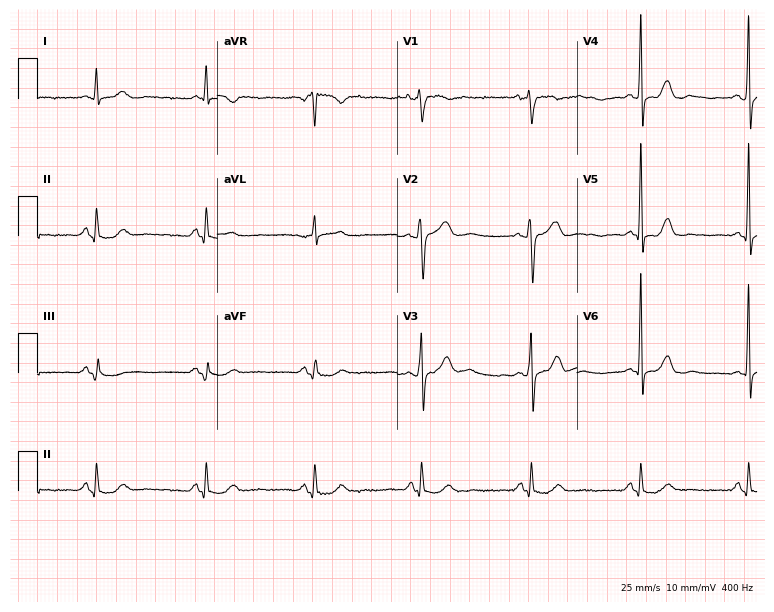
Electrocardiogram, a 62-year-old male patient. Of the six screened findings (first-degree AV block, right bundle branch block (RBBB), left bundle branch block (LBBB), sinus bradycardia, atrial fibrillation (AF), sinus tachycardia), none is recorded.